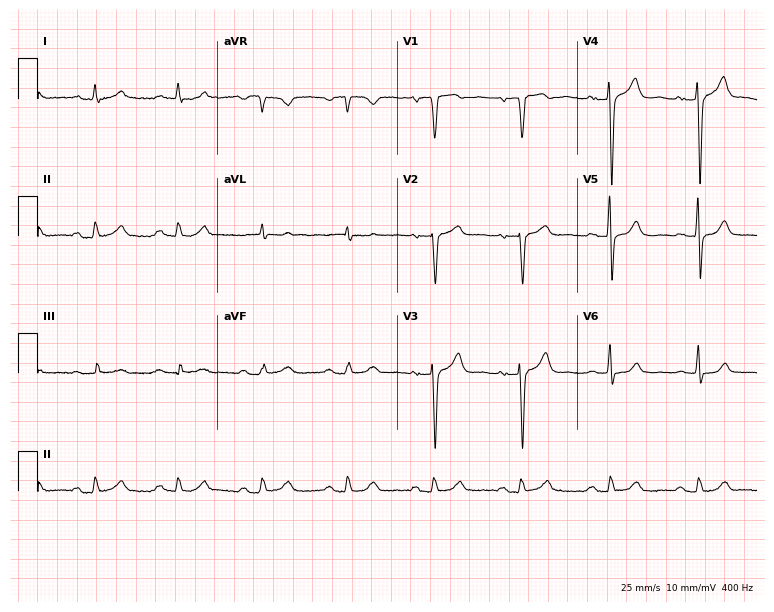
Resting 12-lead electrocardiogram. Patient: a 62-year-old male. None of these six findings is recorded: first-degree AV block, right bundle branch block, left bundle branch block, sinus bradycardia, atrial fibrillation, sinus tachycardia. Only these six findings were labelled.